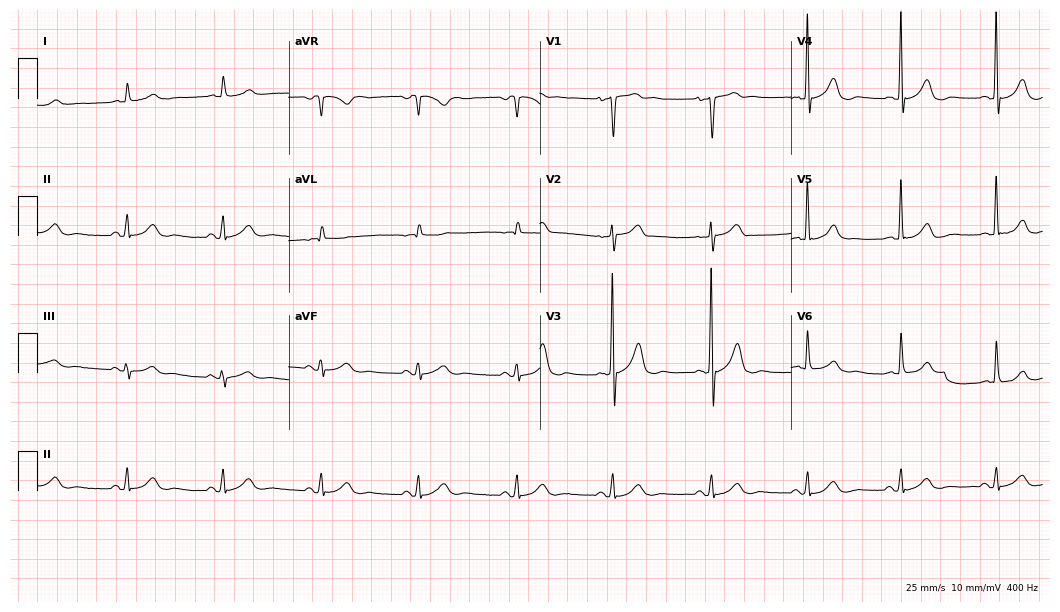
Resting 12-lead electrocardiogram. Patient: an 83-year-old male. Read as a normal ECG.